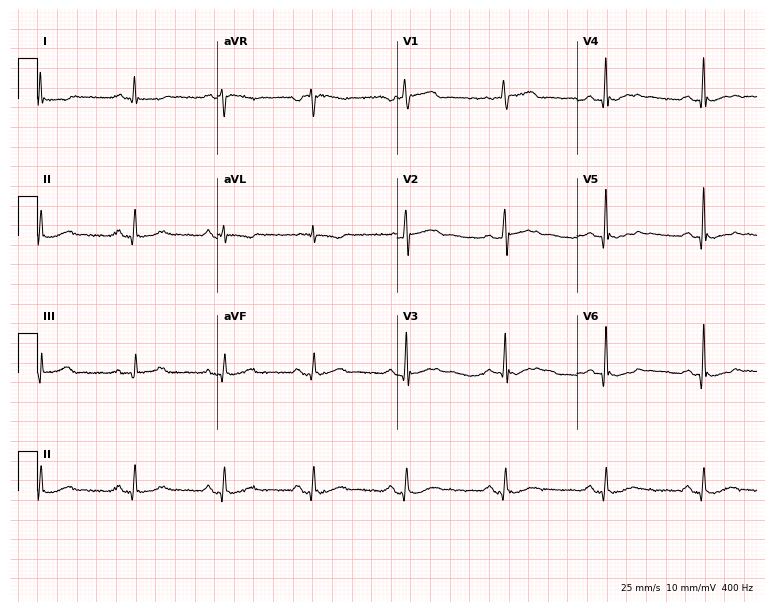
12-lead ECG from a 44-year-old male patient. No first-degree AV block, right bundle branch block, left bundle branch block, sinus bradycardia, atrial fibrillation or sinus tachycardia recorded for this tracing. Findings outside these six are not listed.